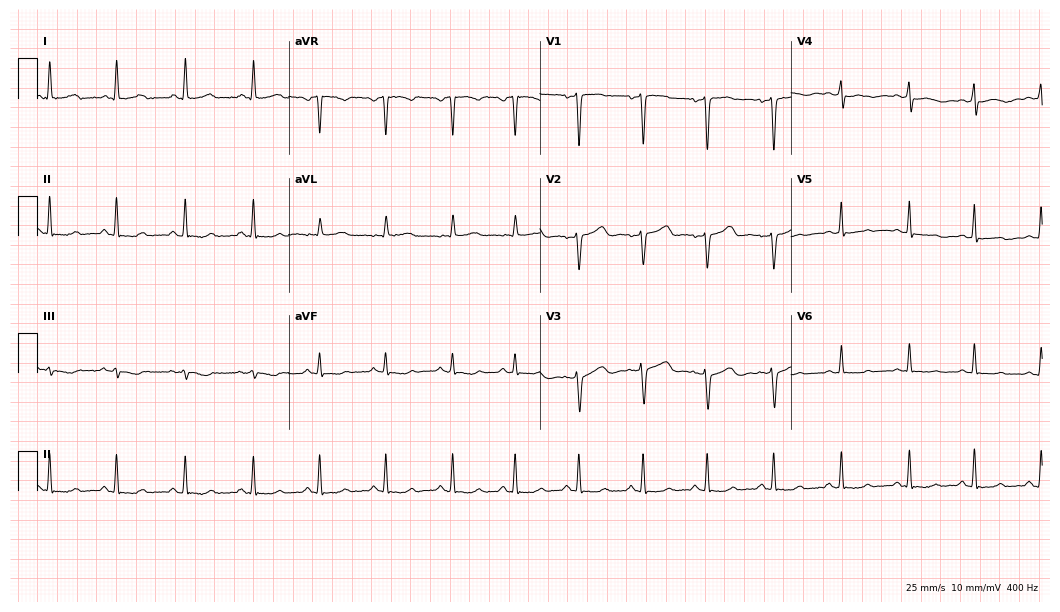
Resting 12-lead electrocardiogram (10.2-second recording at 400 Hz). Patient: a 30-year-old female. None of these six findings is recorded: first-degree AV block, right bundle branch block (RBBB), left bundle branch block (LBBB), sinus bradycardia, atrial fibrillation (AF), sinus tachycardia. Findings outside these six are not listed.